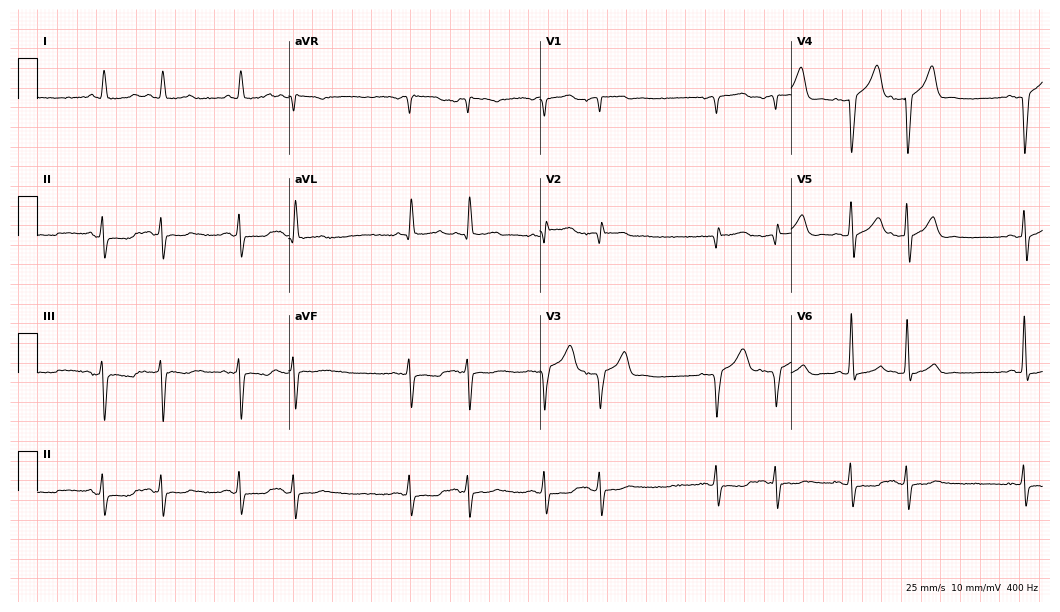
12-lead ECG (10.2-second recording at 400 Hz) from a 76-year-old male. Screened for six findings — first-degree AV block, right bundle branch block (RBBB), left bundle branch block (LBBB), sinus bradycardia, atrial fibrillation (AF), sinus tachycardia — none is recorded. Only these six findings were labelled.